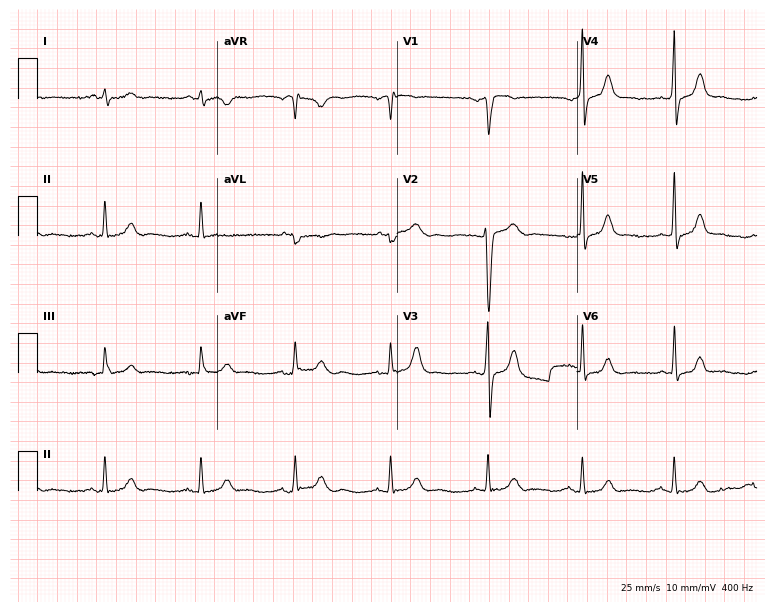
12-lead ECG from a male patient, 24 years old. Recorded interpretation: within normal limits.